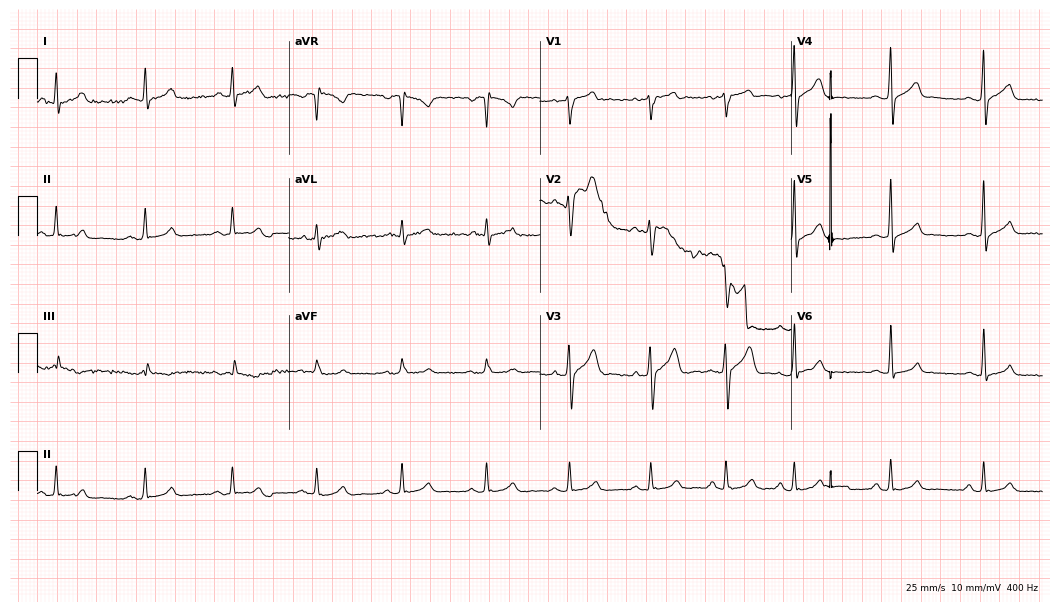
Electrocardiogram, a 33-year-old male patient. Overall reading on record: normal ECG.